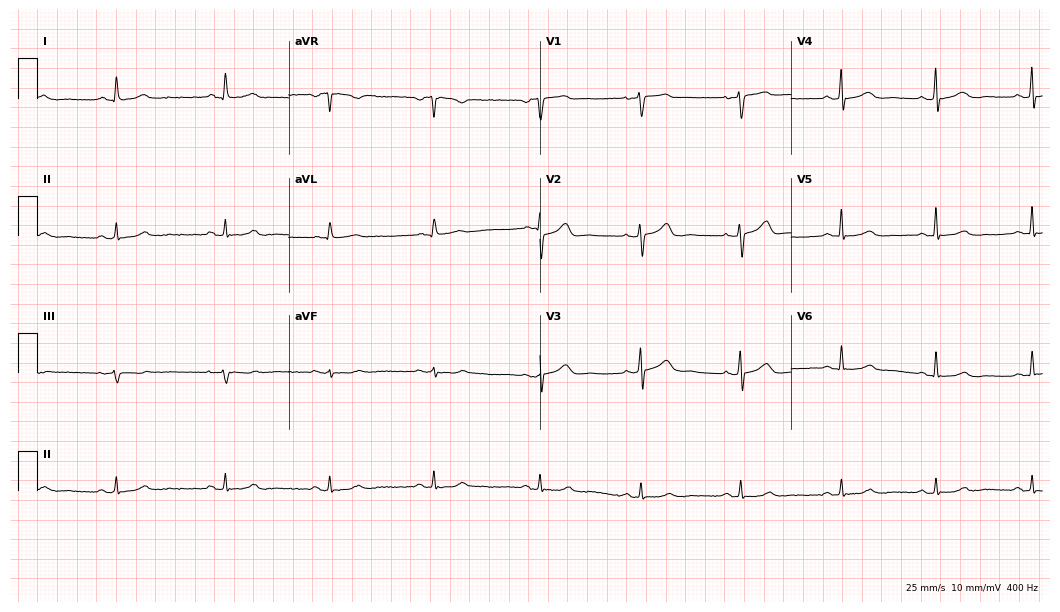
Resting 12-lead electrocardiogram (10.2-second recording at 400 Hz). Patient: a 34-year-old female. Read as a normal ECG.